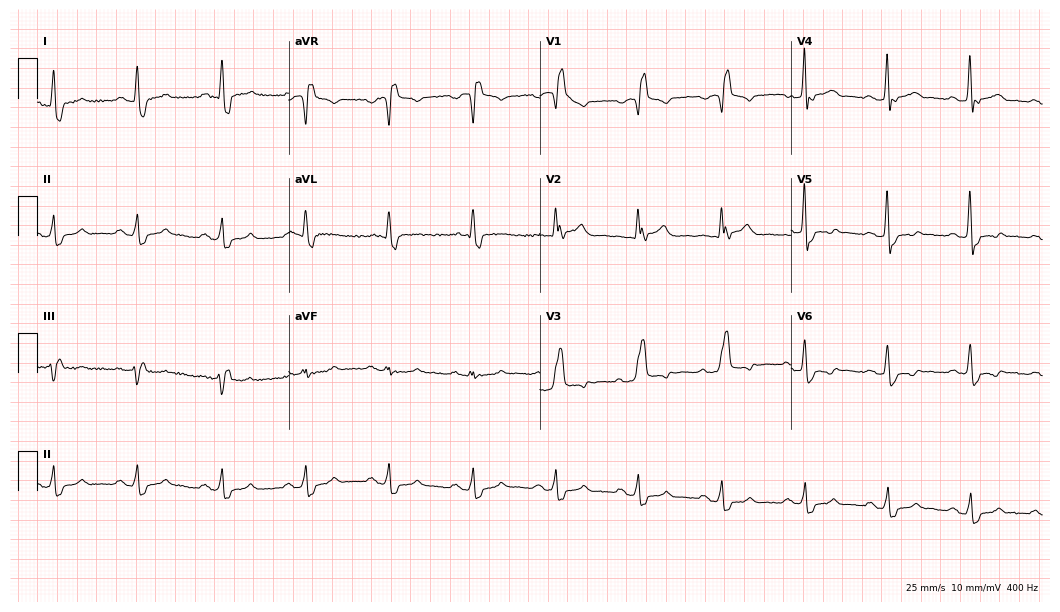
Electrocardiogram (10.2-second recording at 400 Hz), a male, 50 years old. Interpretation includes right bundle branch block.